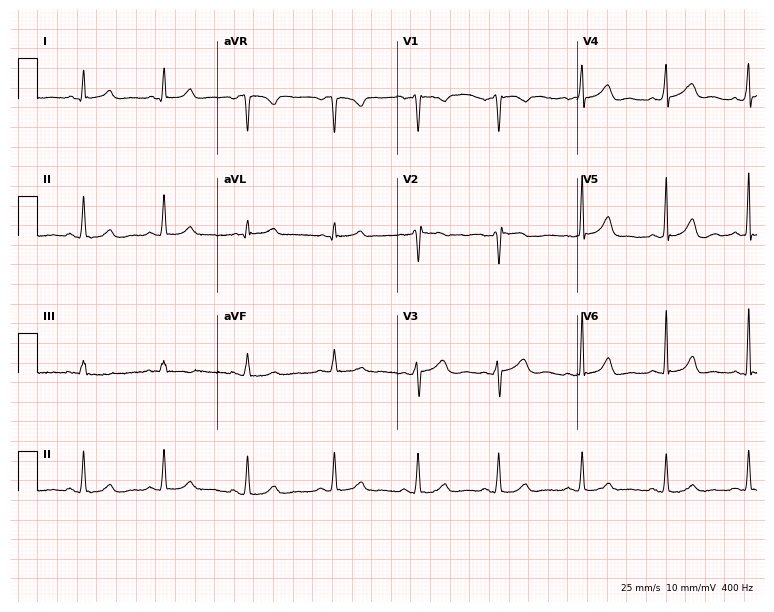
12-lead ECG from a 28-year-old female patient (7.3-second recording at 400 Hz). No first-degree AV block, right bundle branch block, left bundle branch block, sinus bradycardia, atrial fibrillation or sinus tachycardia recorded for this tracing.